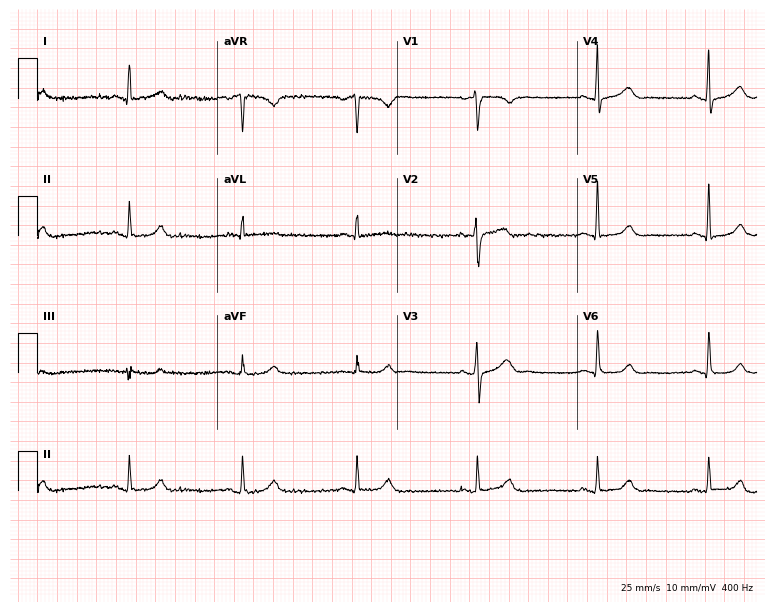
Standard 12-lead ECG recorded from a male, 41 years old (7.3-second recording at 400 Hz). Read as a normal ECG.